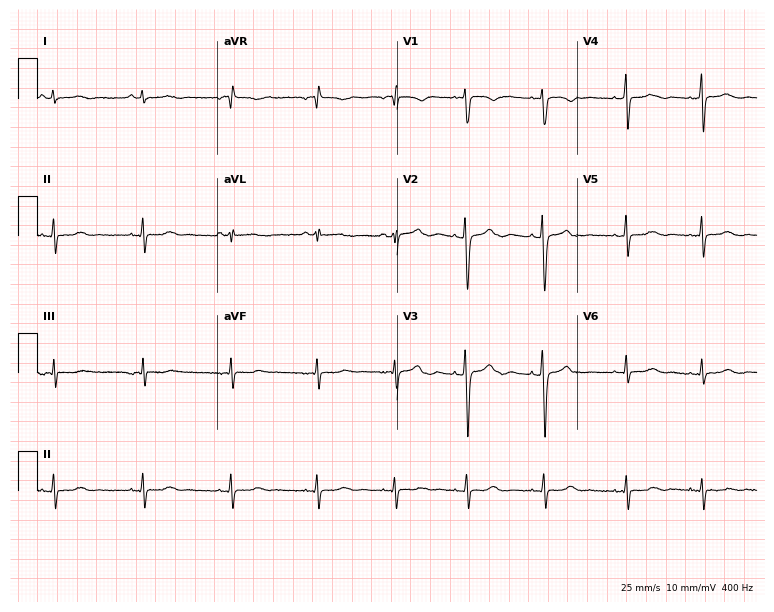
12-lead ECG from a 22-year-old female patient (7.3-second recording at 400 Hz). No first-degree AV block, right bundle branch block, left bundle branch block, sinus bradycardia, atrial fibrillation or sinus tachycardia recorded for this tracing.